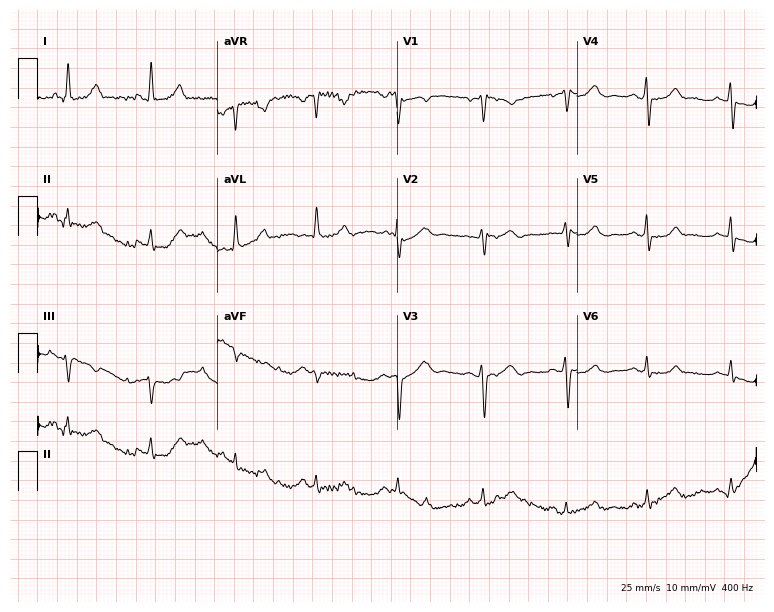
Standard 12-lead ECG recorded from a female, 46 years old (7.3-second recording at 400 Hz). None of these six findings is recorded: first-degree AV block, right bundle branch block (RBBB), left bundle branch block (LBBB), sinus bradycardia, atrial fibrillation (AF), sinus tachycardia.